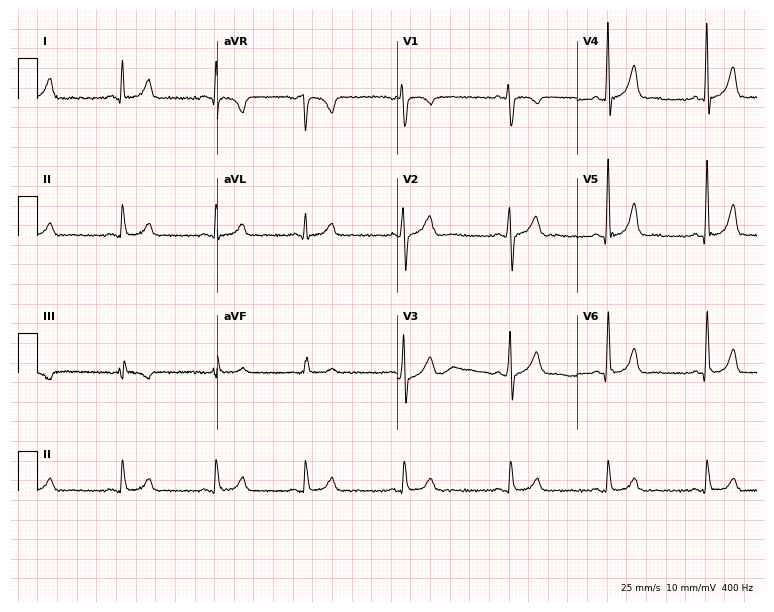
ECG — a 42-year-old male. Screened for six findings — first-degree AV block, right bundle branch block, left bundle branch block, sinus bradycardia, atrial fibrillation, sinus tachycardia — none is recorded. Other findings, if any, are not listed.